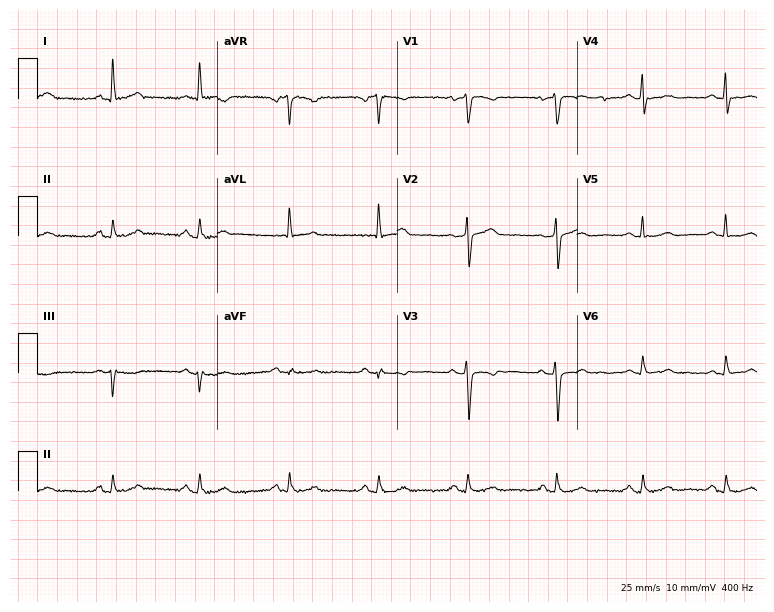
Standard 12-lead ECG recorded from a 48-year-old female patient. Read as a normal ECG.